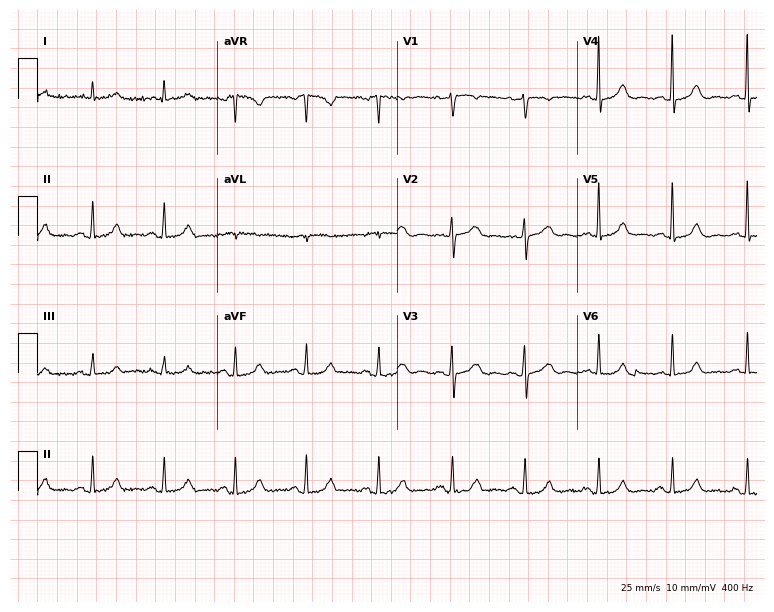
12-lead ECG from an 80-year-old woman. Recorded interpretation: within normal limits.